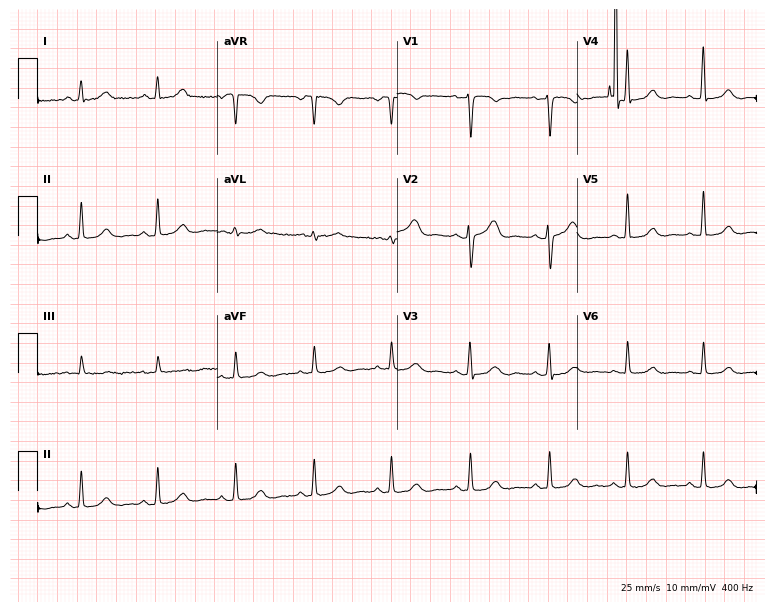
ECG — a 48-year-old woman. Screened for six findings — first-degree AV block, right bundle branch block, left bundle branch block, sinus bradycardia, atrial fibrillation, sinus tachycardia — none is recorded.